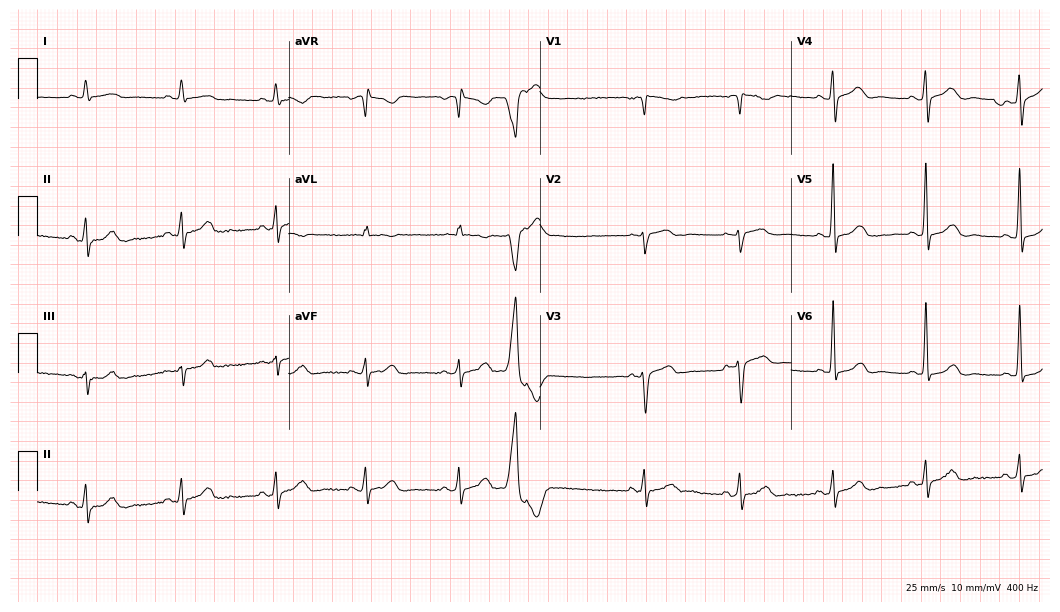
12-lead ECG from a 61-year-old woman. No first-degree AV block, right bundle branch block (RBBB), left bundle branch block (LBBB), sinus bradycardia, atrial fibrillation (AF) or sinus tachycardia recorded for this tracing.